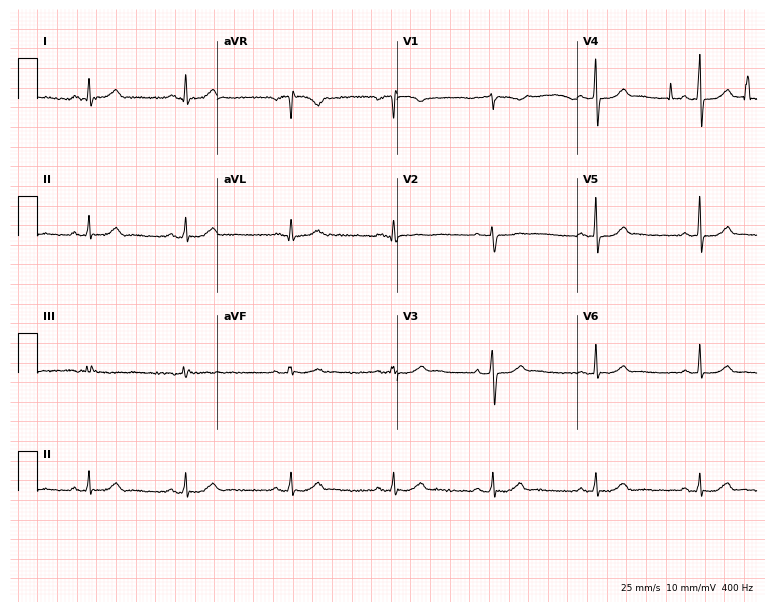
ECG (7.3-second recording at 400 Hz) — a female patient, 38 years old. Labelled as a normal ECG.